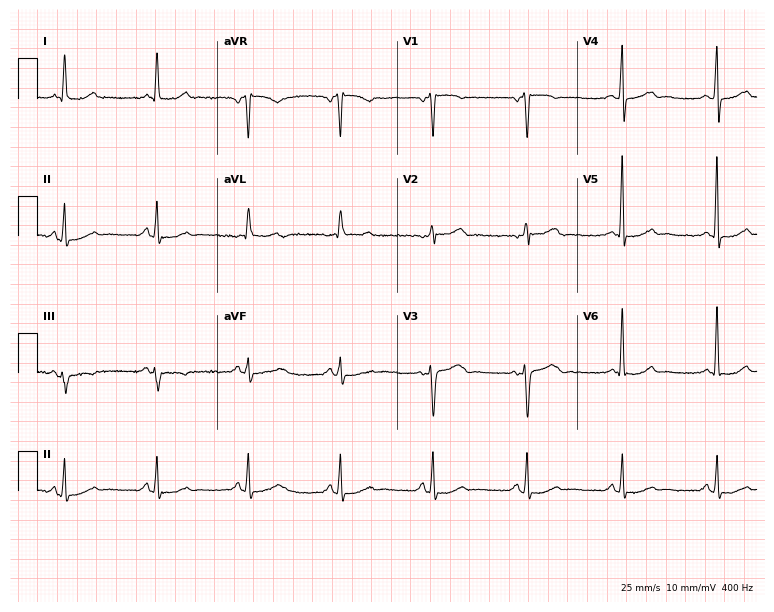
12-lead ECG from a female, 58 years old. Recorded interpretation: within normal limits.